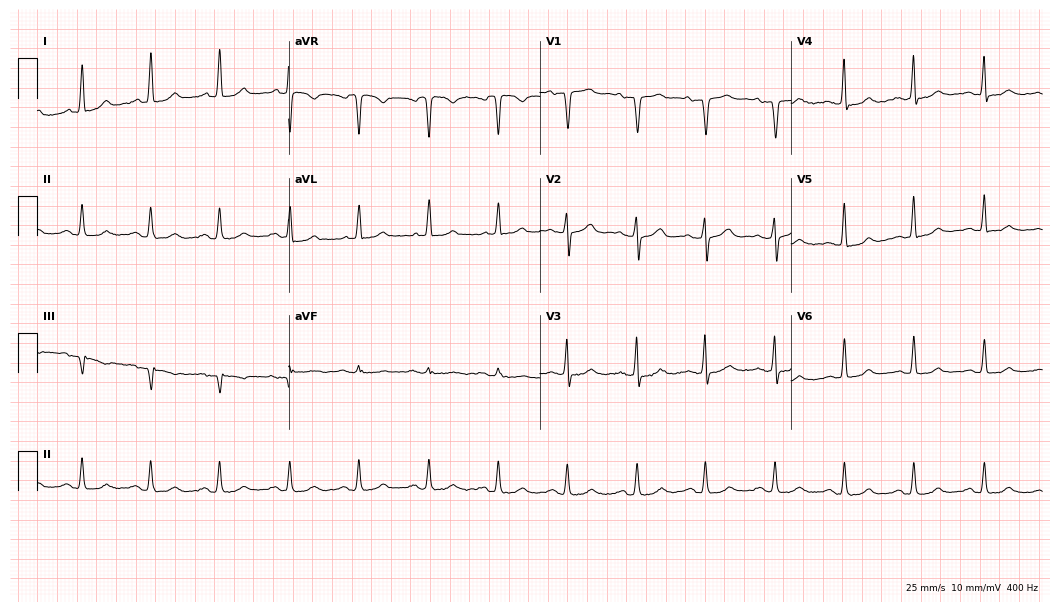
Electrocardiogram (10.2-second recording at 400 Hz), a man, 59 years old. Overall reading on record: normal ECG.